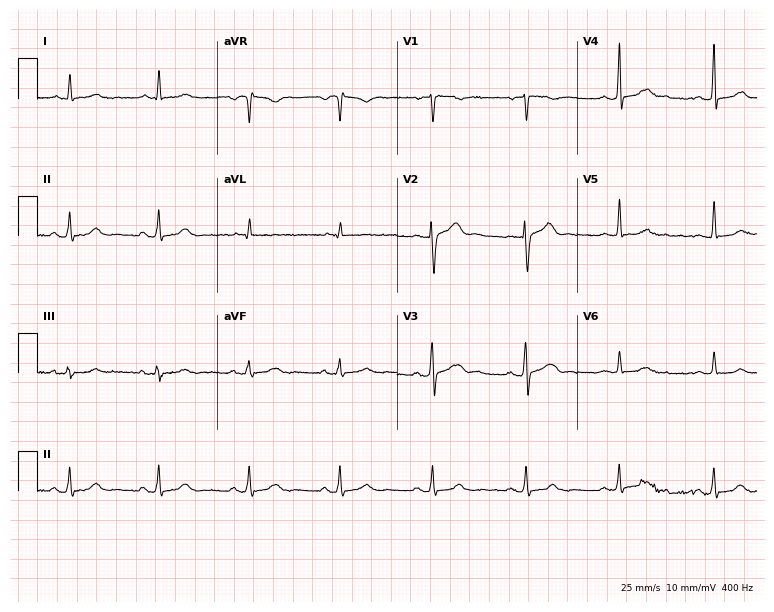
12-lead ECG from a male, 30 years old. Recorded interpretation: within normal limits.